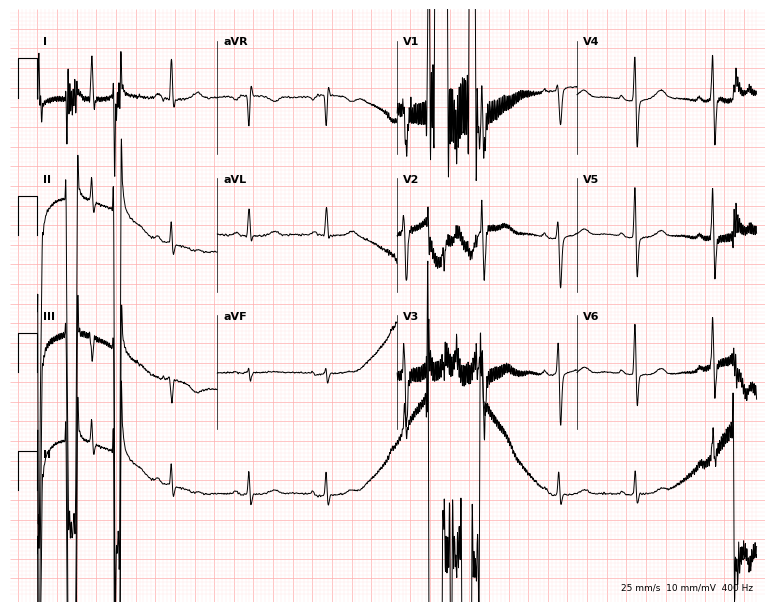
12-lead ECG from a 61-year-old female. Screened for six findings — first-degree AV block, right bundle branch block, left bundle branch block, sinus bradycardia, atrial fibrillation, sinus tachycardia — none is recorded.